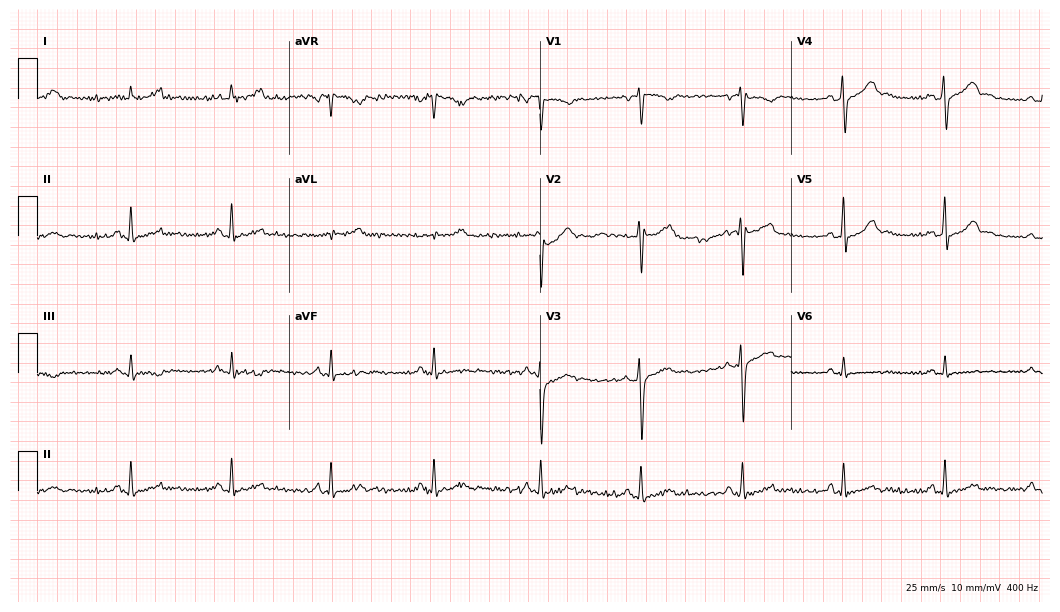
Resting 12-lead electrocardiogram. Patient: a 39-year-old man. Read as a normal ECG.